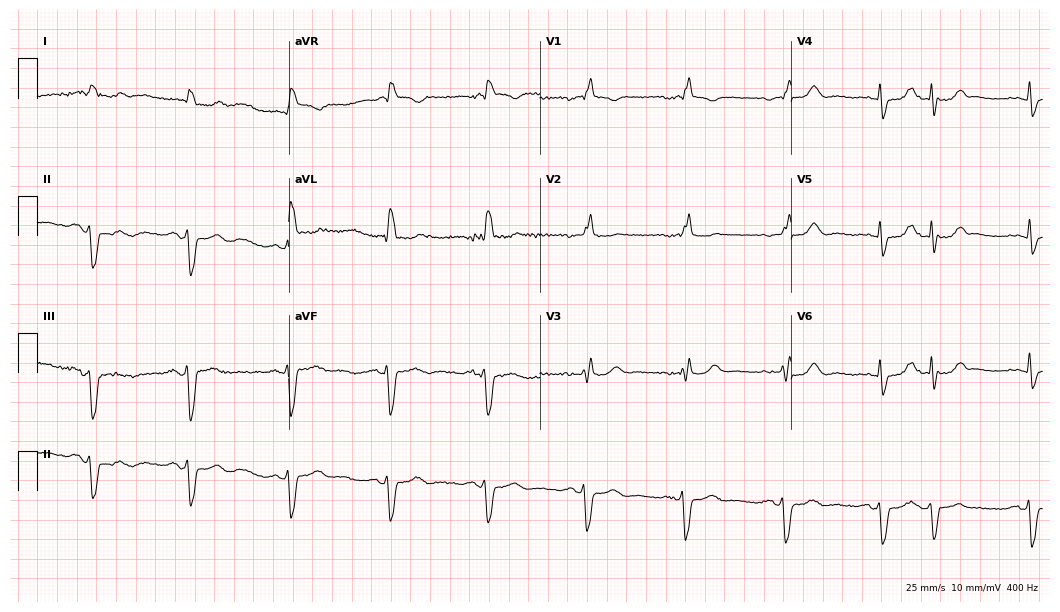
ECG — an 84-year-old male patient. Findings include right bundle branch block (RBBB).